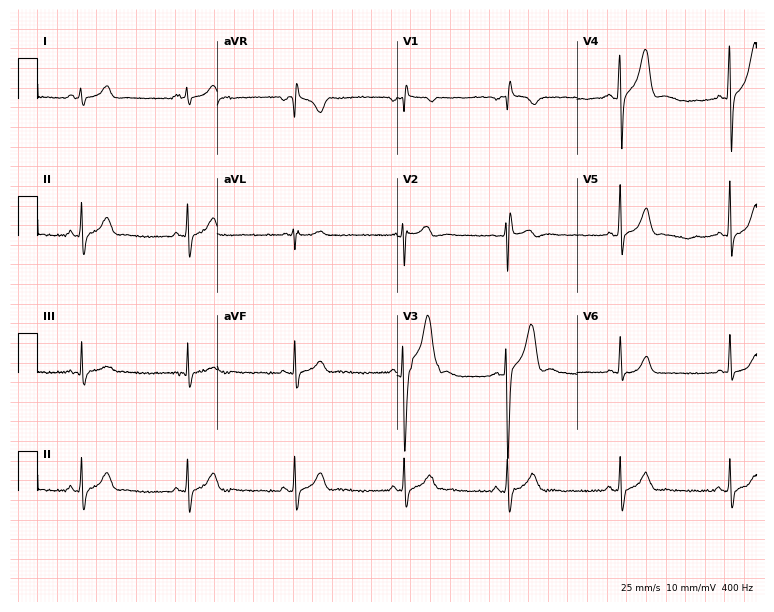
Resting 12-lead electrocardiogram. Patient: a male, 26 years old. None of these six findings is recorded: first-degree AV block, right bundle branch block, left bundle branch block, sinus bradycardia, atrial fibrillation, sinus tachycardia. Findings outside these six are not listed.